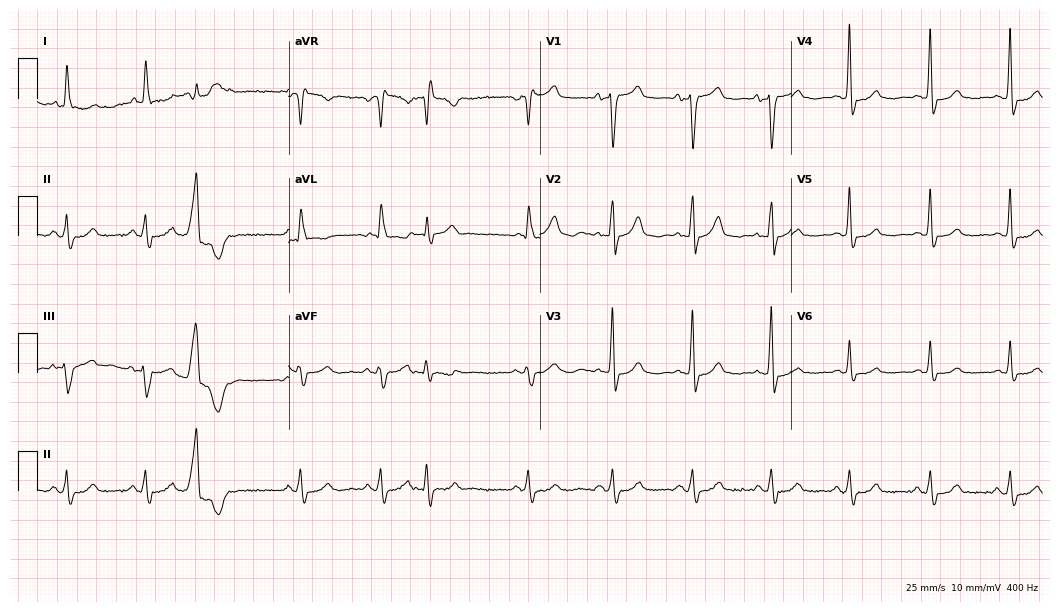
12-lead ECG from an 84-year-old female patient. No first-degree AV block, right bundle branch block (RBBB), left bundle branch block (LBBB), sinus bradycardia, atrial fibrillation (AF) or sinus tachycardia recorded for this tracing.